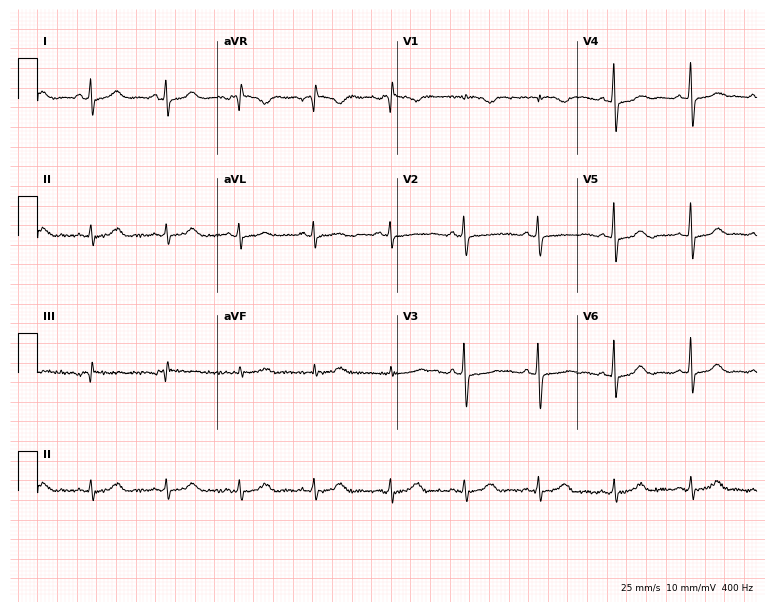
ECG — a woman, 40 years old. Screened for six findings — first-degree AV block, right bundle branch block, left bundle branch block, sinus bradycardia, atrial fibrillation, sinus tachycardia — none is recorded. Other findings, if any, are not listed.